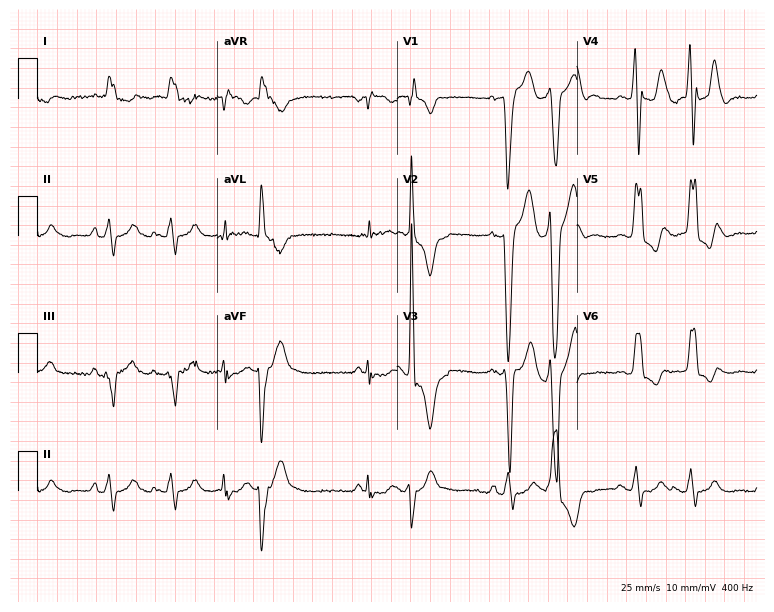
Standard 12-lead ECG recorded from a man, 74 years old (7.3-second recording at 400 Hz). The tracing shows left bundle branch block, sinus tachycardia (a sinus rate of 100 beats per minute or more).